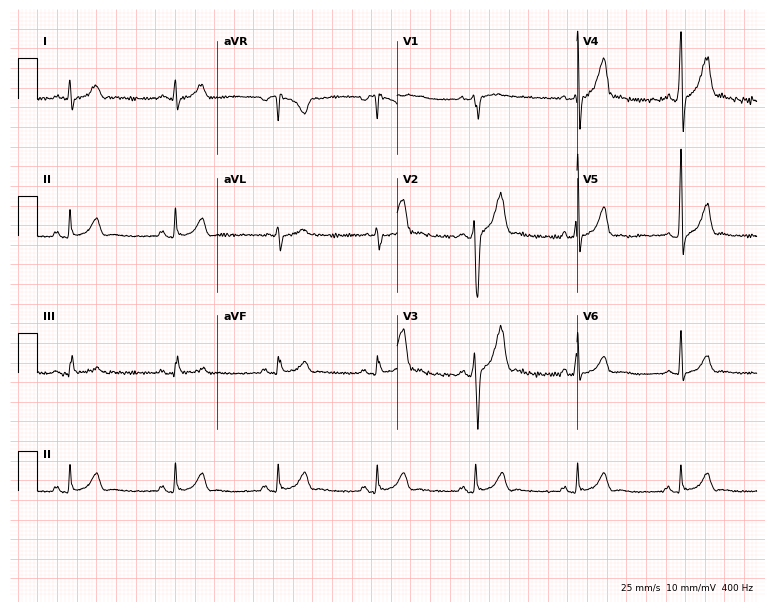
12-lead ECG from a man, 34 years old. No first-degree AV block, right bundle branch block (RBBB), left bundle branch block (LBBB), sinus bradycardia, atrial fibrillation (AF) or sinus tachycardia recorded for this tracing. Findings outside these six are not listed.